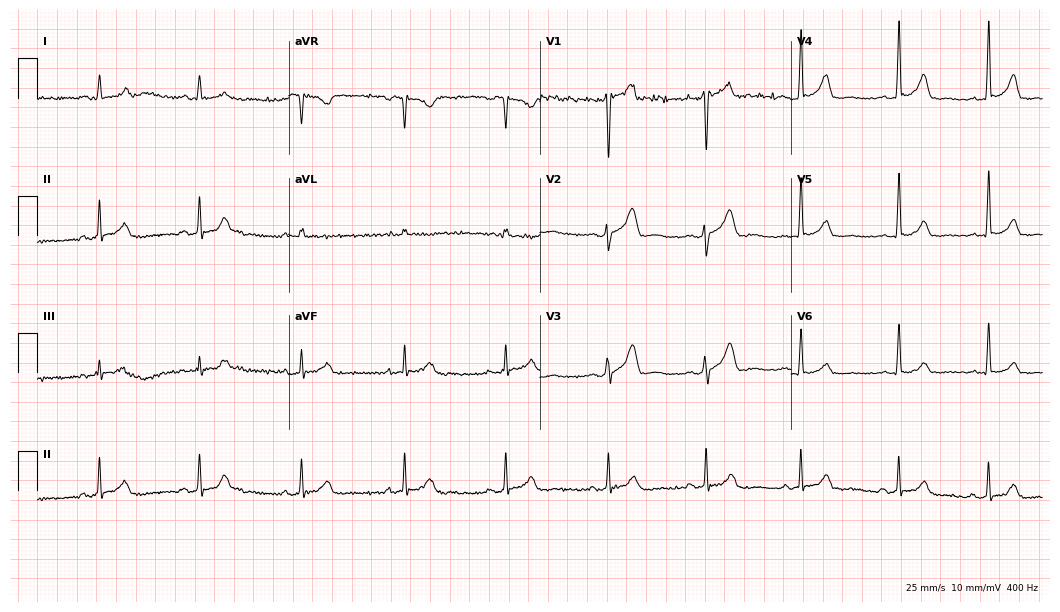
Standard 12-lead ECG recorded from a 25-year-old male patient. Read as a normal ECG.